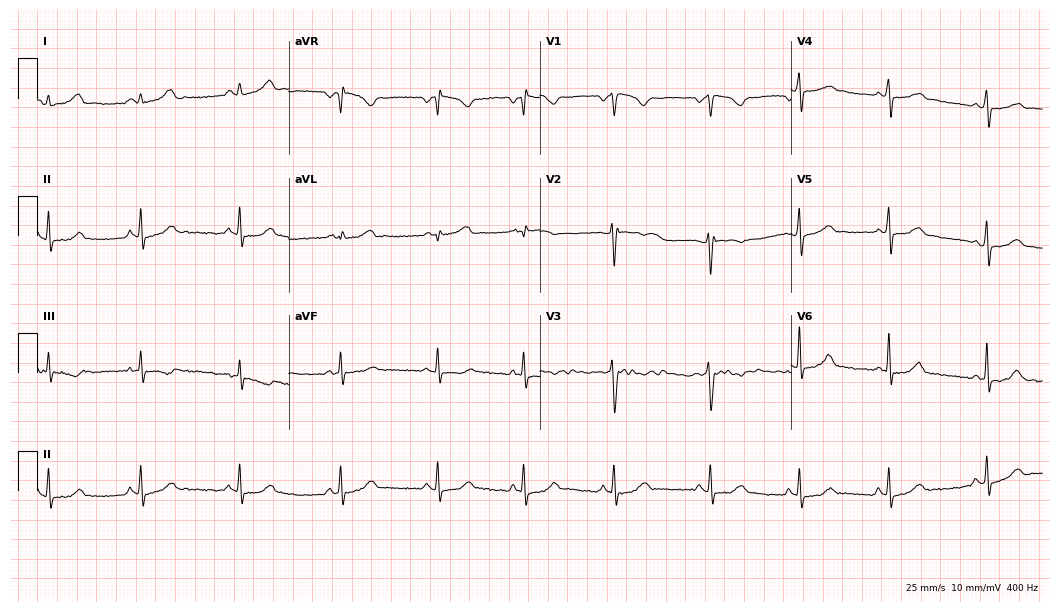
Standard 12-lead ECG recorded from a 21-year-old woman. Read as a normal ECG.